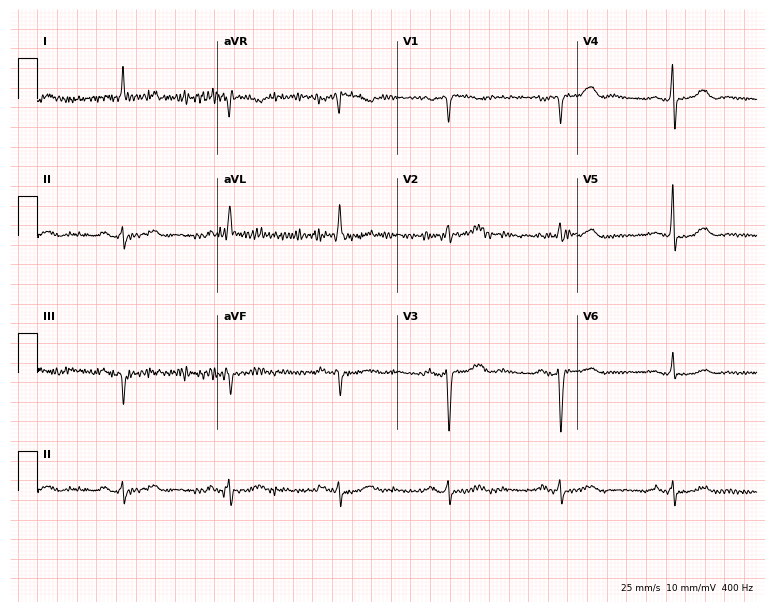
12-lead ECG from a 79-year-old woman. Screened for six findings — first-degree AV block, right bundle branch block, left bundle branch block, sinus bradycardia, atrial fibrillation, sinus tachycardia — none is recorded. Other findings, if any, are not listed.